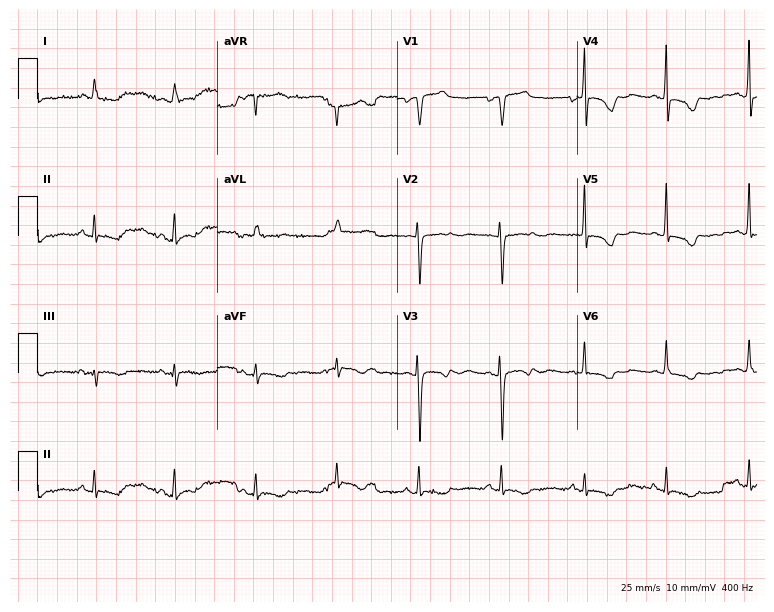
Standard 12-lead ECG recorded from a female patient, 84 years old. None of these six findings is recorded: first-degree AV block, right bundle branch block (RBBB), left bundle branch block (LBBB), sinus bradycardia, atrial fibrillation (AF), sinus tachycardia. Other findings, if any, are not listed.